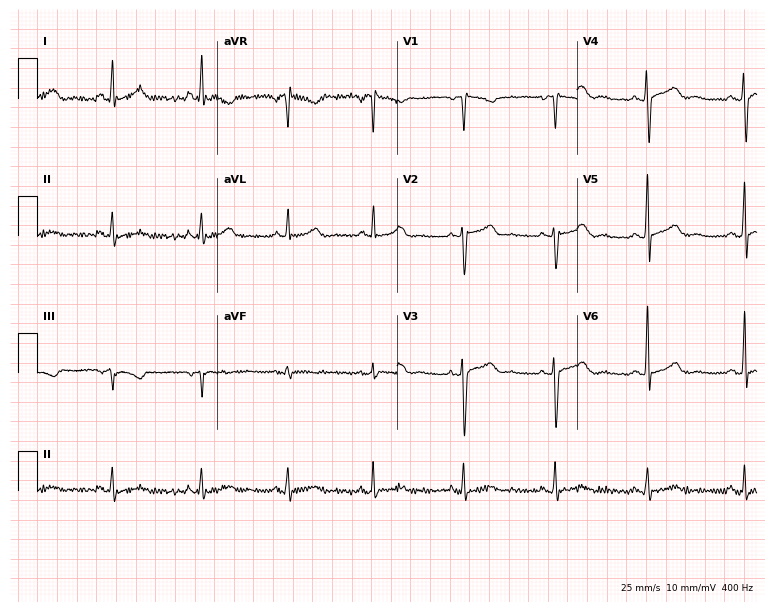
Resting 12-lead electrocardiogram (7.3-second recording at 400 Hz). Patient: a woman, 62 years old. None of these six findings is recorded: first-degree AV block, right bundle branch block, left bundle branch block, sinus bradycardia, atrial fibrillation, sinus tachycardia.